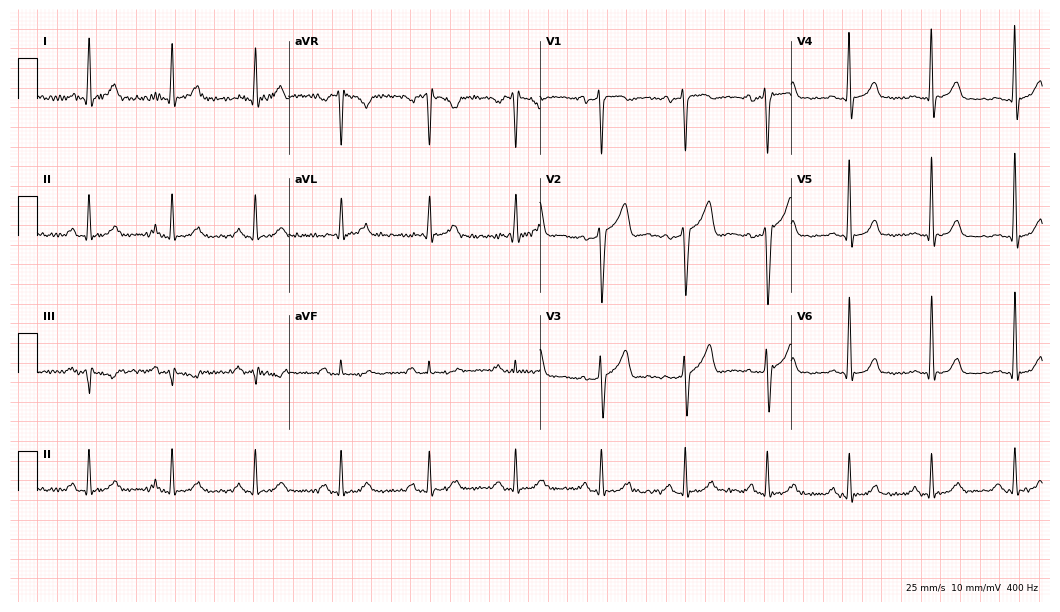
12-lead ECG from a man, 45 years old. No first-degree AV block, right bundle branch block, left bundle branch block, sinus bradycardia, atrial fibrillation or sinus tachycardia recorded for this tracing.